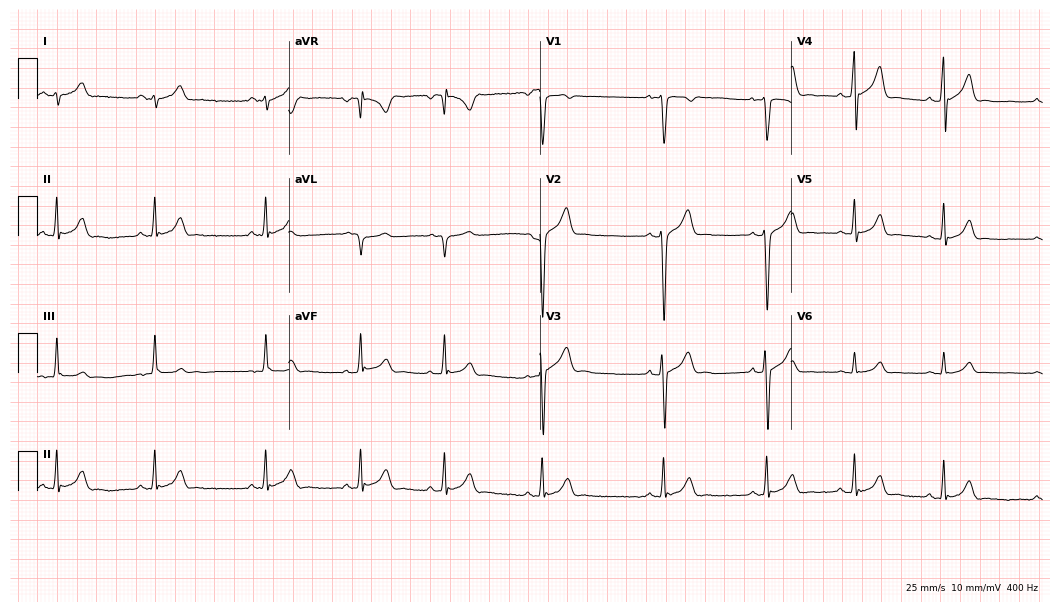
Standard 12-lead ECG recorded from a male patient, 17 years old (10.2-second recording at 400 Hz). Read as a normal ECG.